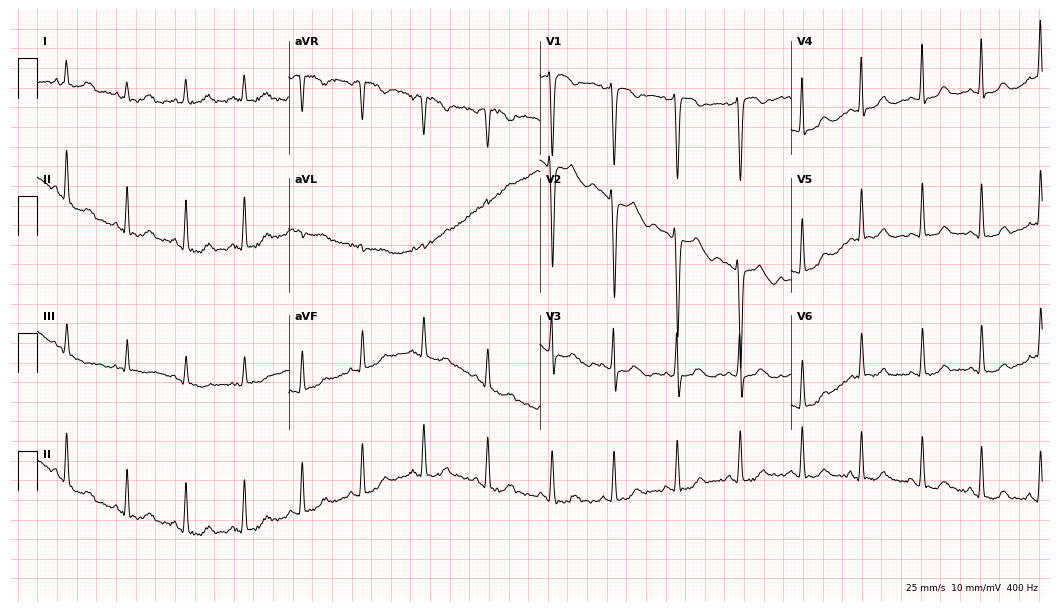
Standard 12-lead ECG recorded from a female patient, 37 years old (10.2-second recording at 400 Hz). None of these six findings is recorded: first-degree AV block, right bundle branch block (RBBB), left bundle branch block (LBBB), sinus bradycardia, atrial fibrillation (AF), sinus tachycardia. Other findings, if any, are not listed.